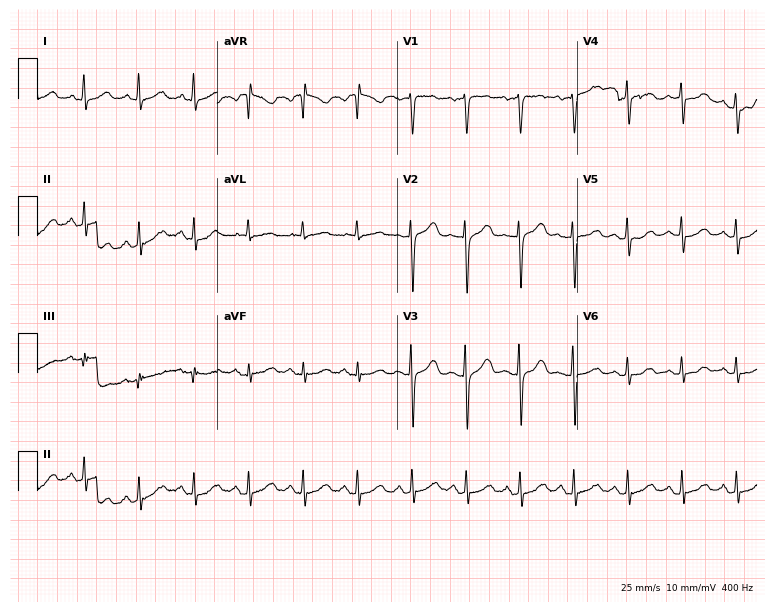
12-lead ECG from a 59-year-old female patient (7.3-second recording at 400 Hz). Shows sinus tachycardia (a sinus rate of 100 beats per minute or more).